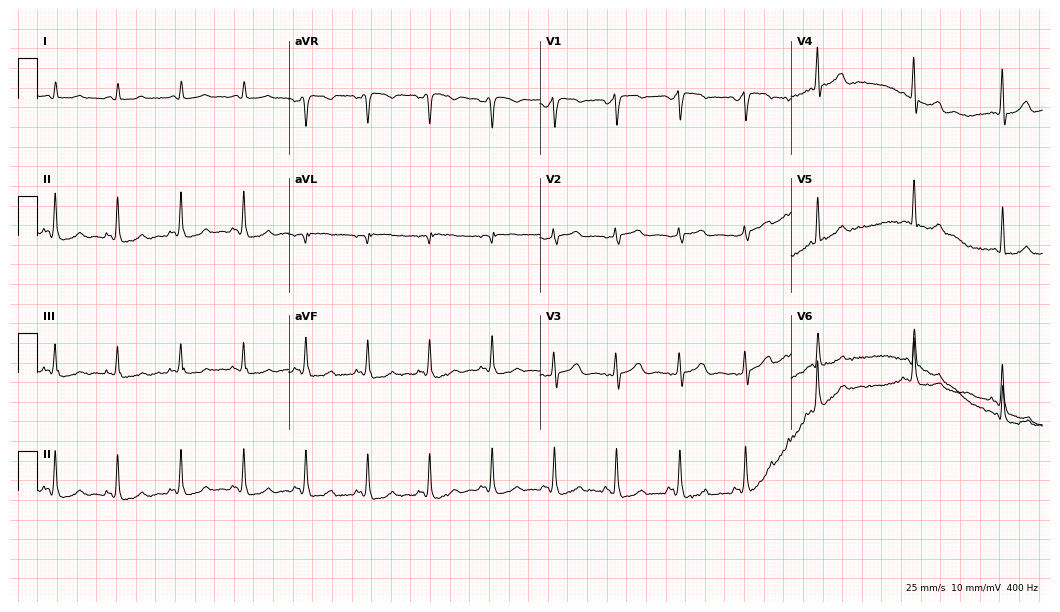
ECG (10.2-second recording at 400 Hz) — a male, 53 years old. Screened for six findings — first-degree AV block, right bundle branch block, left bundle branch block, sinus bradycardia, atrial fibrillation, sinus tachycardia — none is recorded.